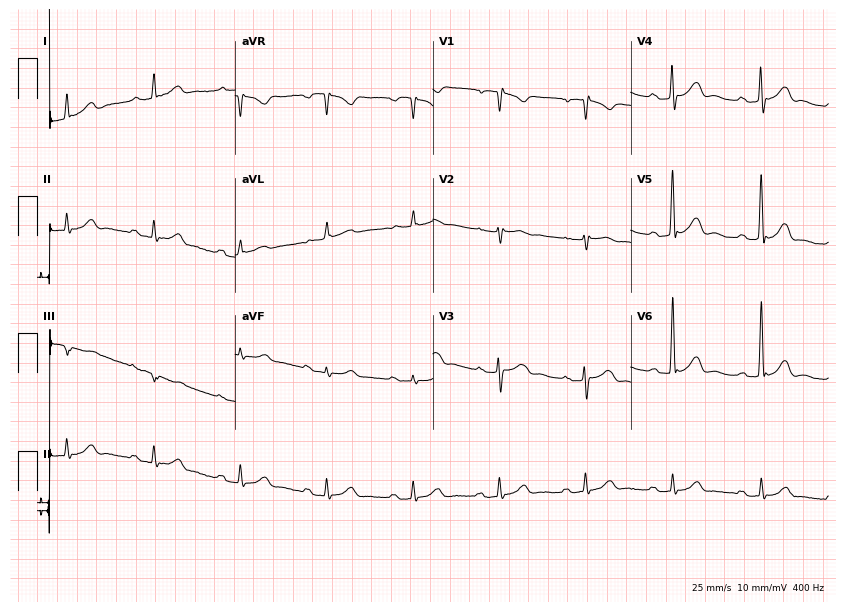
Standard 12-lead ECG recorded from a male, 72 years old (8.1-second recording at 400 Hz). None of these six findings is recorded: first-degree AV block, right bundle branch block, left bundle branch block, sinus bradycardia, atrial fibrillation, sinus tachycardia. Findings outside these six are not listed.